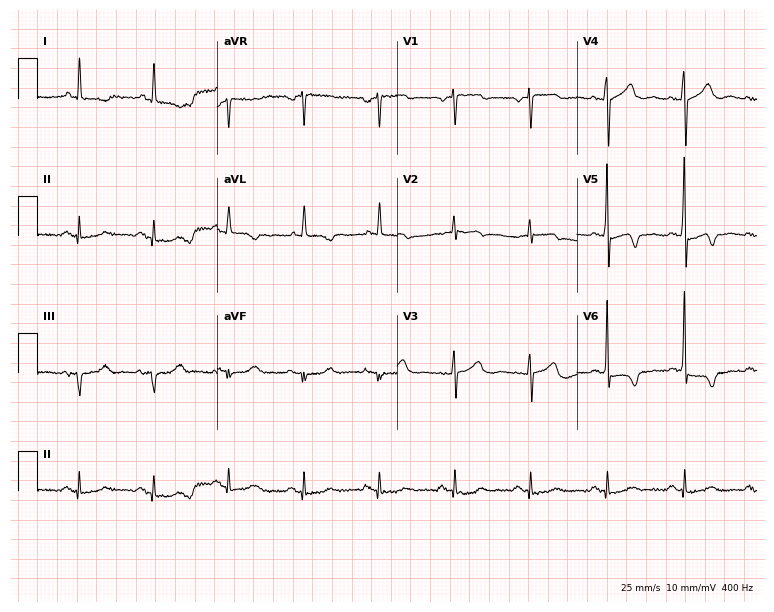
ECG (7.3-second recording at 400 Hz) — an 84-year-old female patient. Screened for six findings — first-degree AV block, right bundle branch block, left bundle branch block, sinus bradycardia, atrial fibrillation, sinus tachycardia — none is recorded.